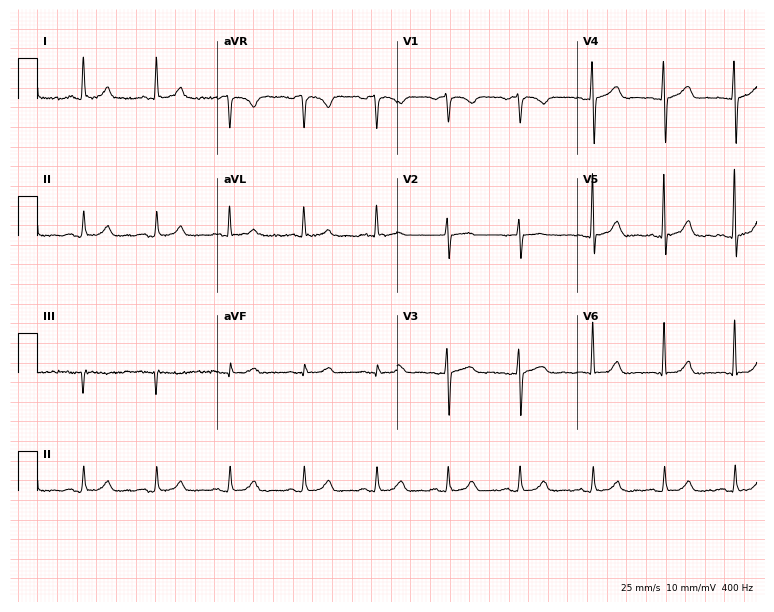
Resting 12-lead electrocardiogram. Patient: a 79-year-old male. None of these six findings is recorded: first-degree AV block, right bundle branch block, left bundle branch block, sinus bradycardia, atrial fibrillation, sinus tachycardia.